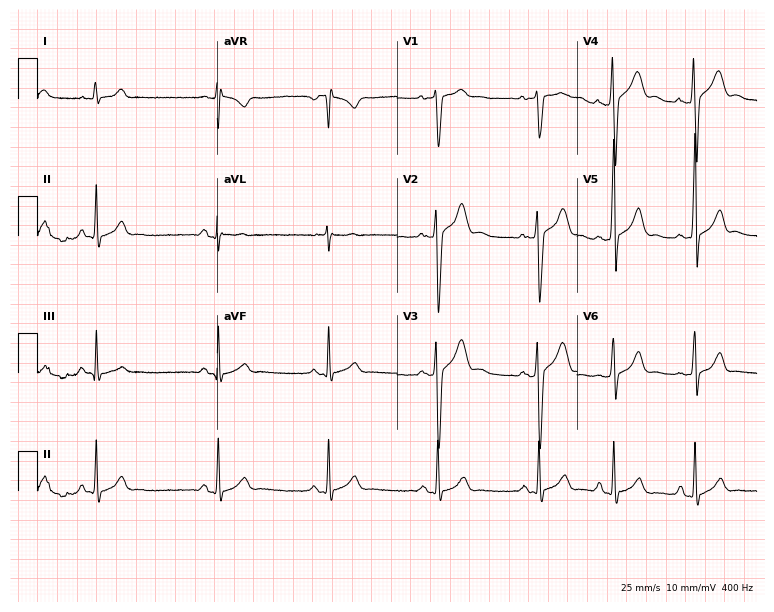
12-lead ECG from a man, 19 years old (7.3-second recording at 400 Hz). Recorded interpretation: within normal limits.